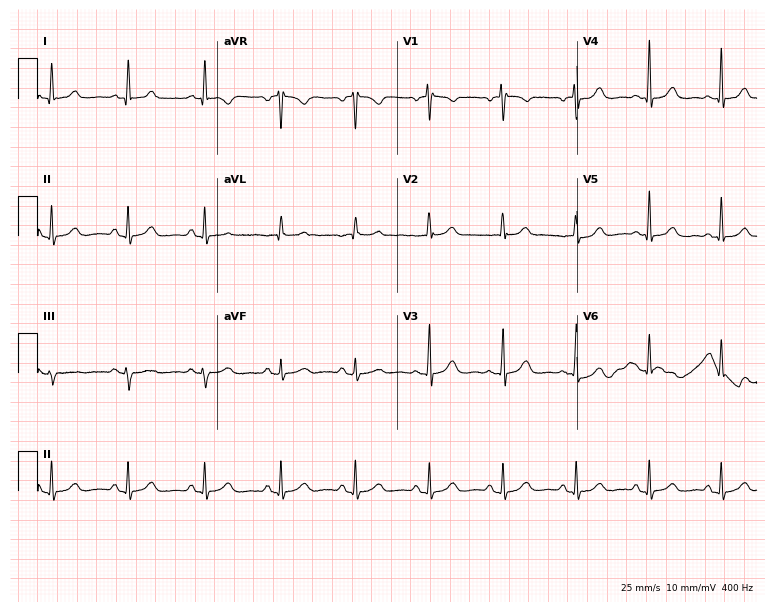
Resting 12-lead electrocardiogram. Patient: a 71-year-old female. Read as a normal ECG.